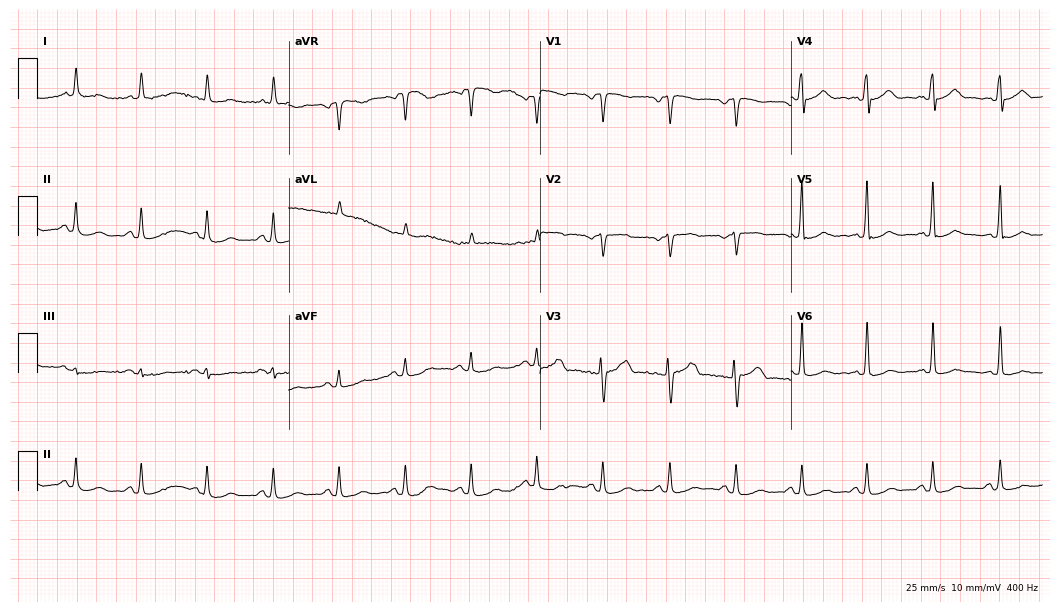
ECG (10.2-second recording at 400 Hz) — a 73-year-old female. Screened for six findings — first-degree AV block, right bundle branch block (RBBB), left bundle branch block (LBBB), sinus bradycardia, atrial fibrillation (AF), sinus tachycardia — none is recorded. Only these six findings were labelled.